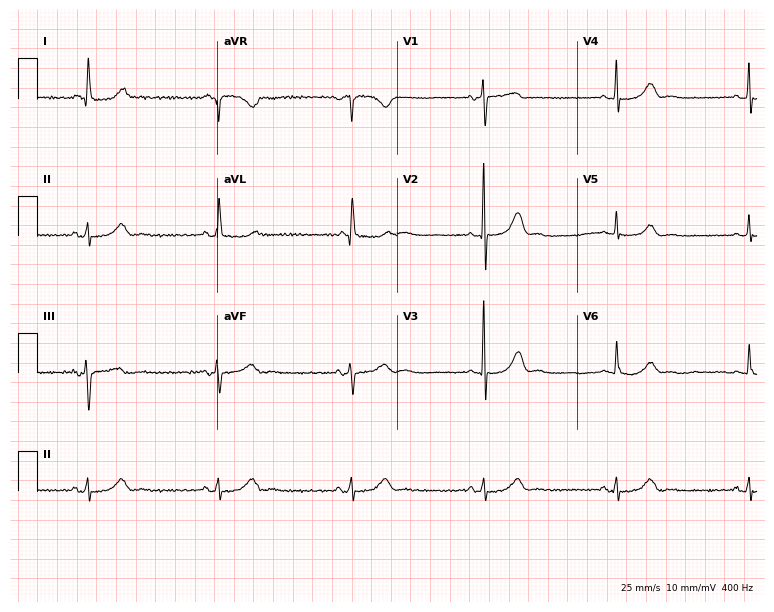
ECG — a female patient, 81 years old. Findings include sinus bradycardia (a sinus rate of 50 beats per minute or less).